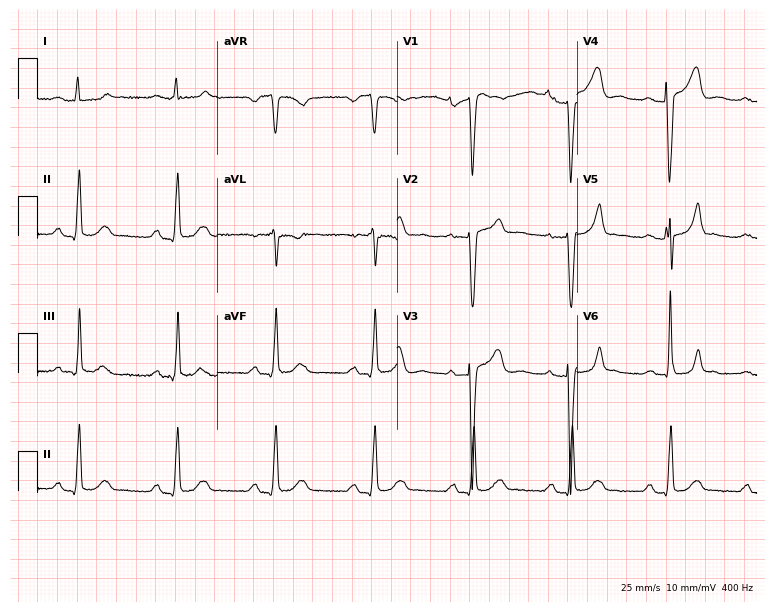
Standard 12-lead ECG recorded from a 43-year-old female. The tracing shows first-degree AV block.